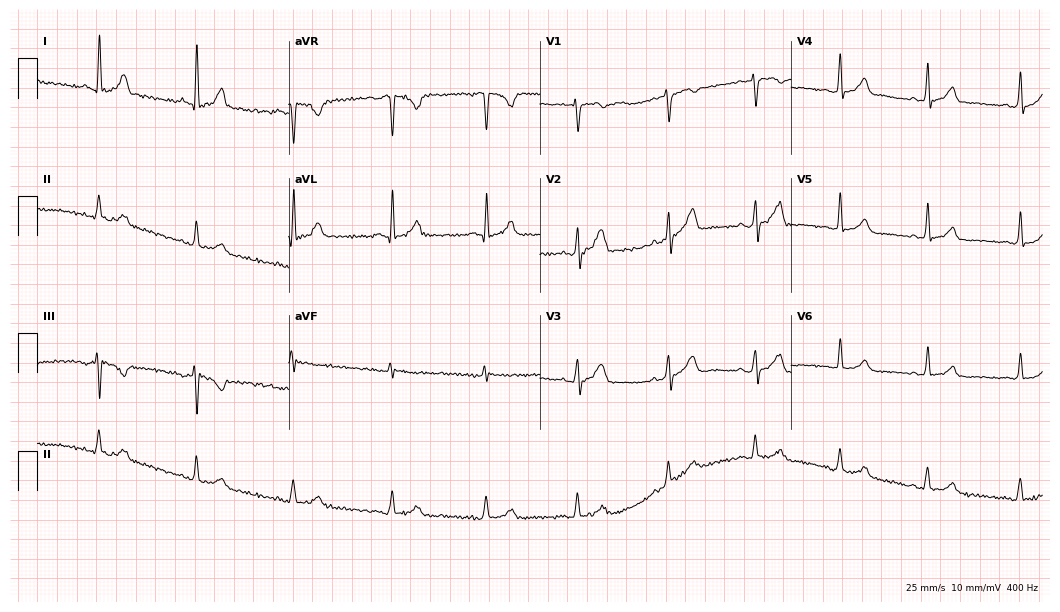
Resting 12-lead electrocardiogram. Patient: a 42-year-old man. Read as a normal ECG.